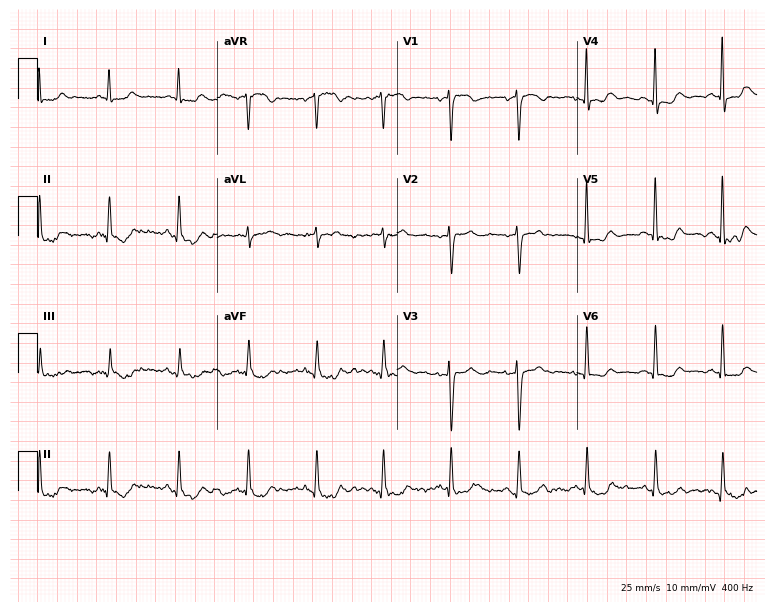
12-lead ECG (7.3-second recording at 400 Hz) from a 71-year-old female. Screened for six findings — first-degree AV block, right bundle branch block, left bundle branch block, sinus bradycardia, atrial fibrillation, sinus tachycardia — none is recorded. Only these six findings were labelled.